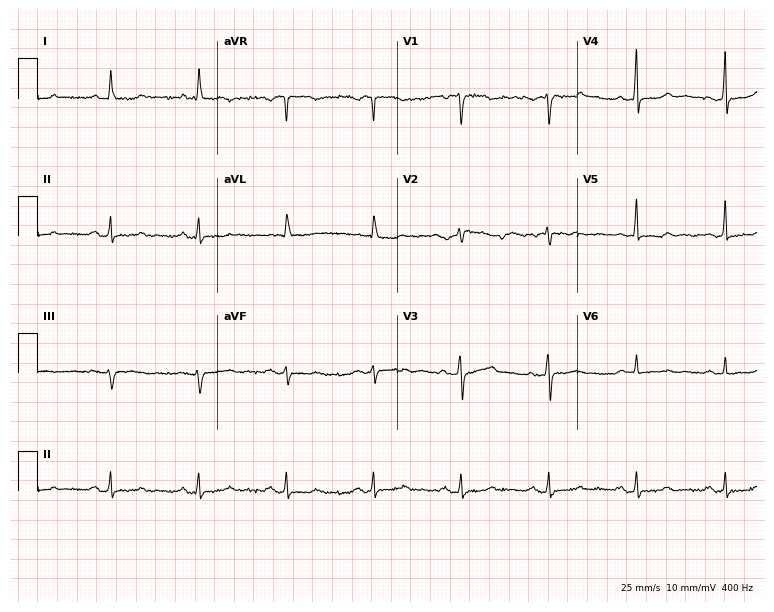
Standard 12-lead ECG recorded from a woman, 56 years old (7.3-second recording at 400 Hz). Read as a normal ECG.